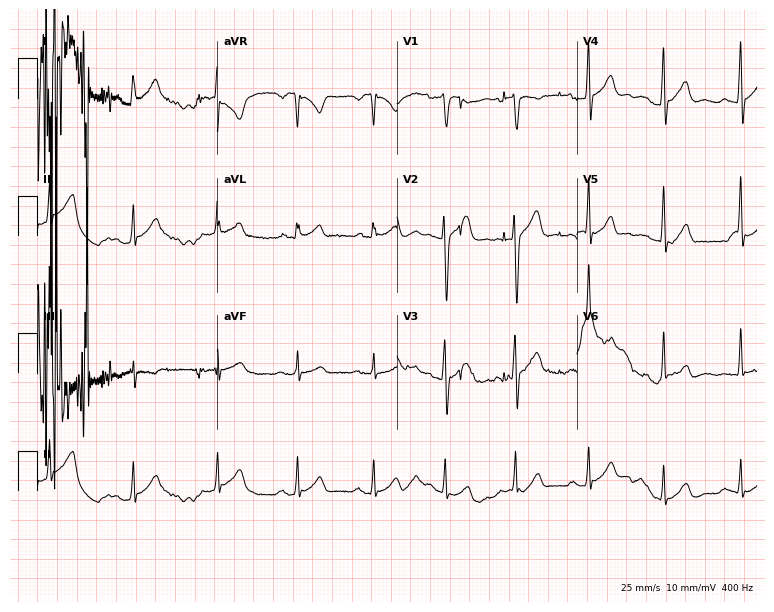
12-lead ECG from a male, 22 years old. No first-degree AV block, right bundle branch block, left bundle branch block, sinus bradycardia, atrial fibrillation or sinus tachycardia recorded for this tracing. Only these six findings were labelled.